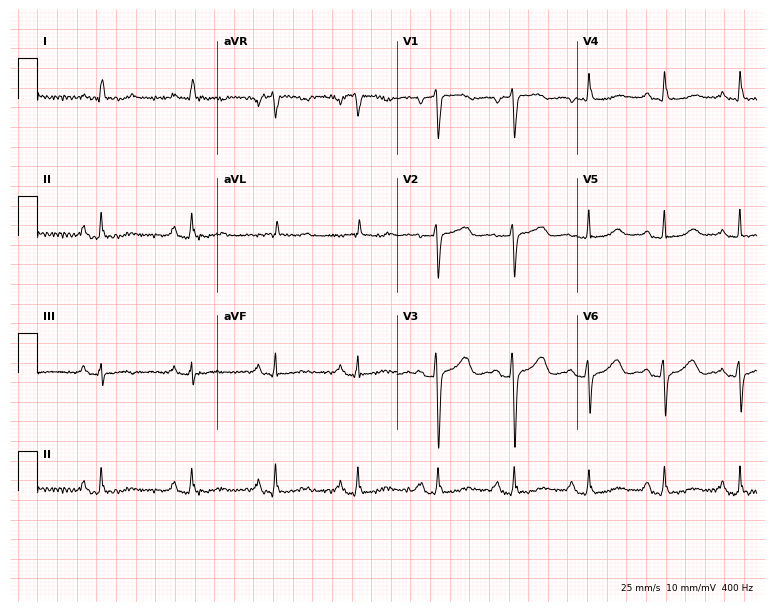
Resting 12-lead electrocardiogram (7.3-second recording at 400 Hz). Patient: a woman, 60 years old. None of these six findings is recorded: first-degree AV block, right bundle branch block (RBBB), left bundle branch block (LBBB), sinus bradycardia, atrial fibrillation (AF), sinus tachycardia.